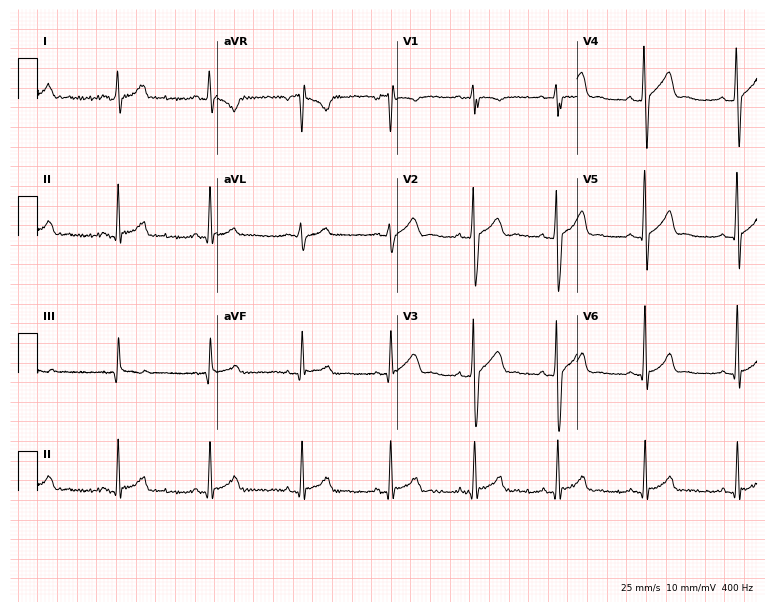
Electrocardiogram, a 26-year-old male. Overall reading on record: normal ECG.